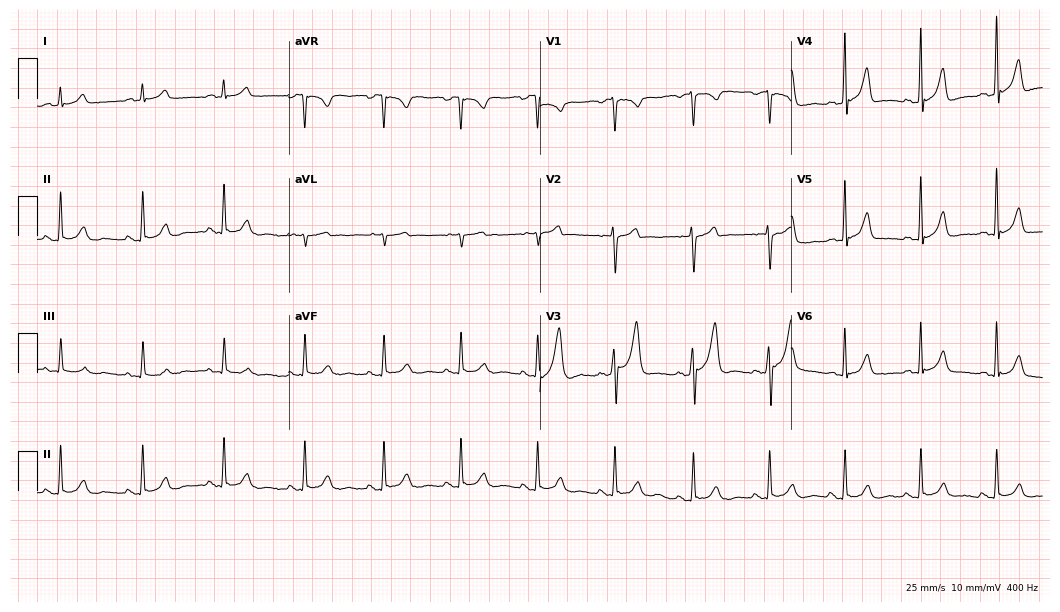
Electrocardiogram, a male patient, 38 years old. Overall reading on record: normal ECG.